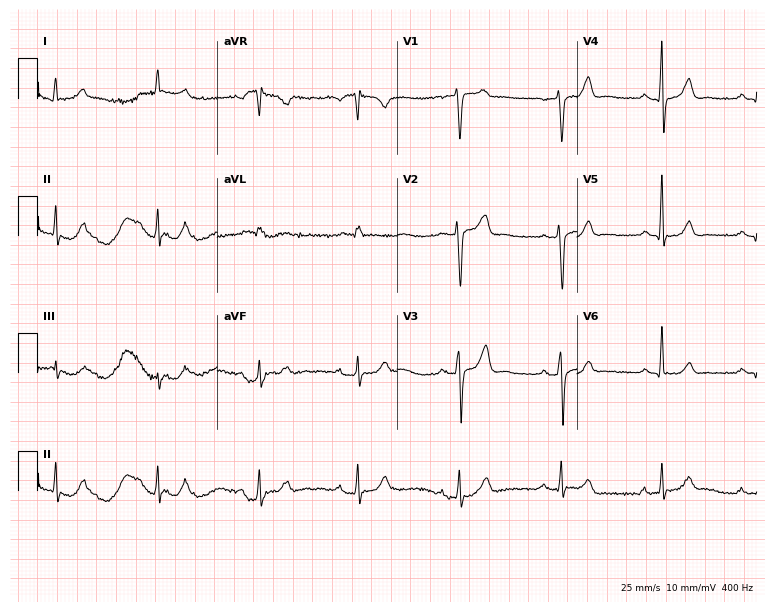
Resting 12-lead electrocardiogram. Patient: a male, 58 years old. Read as a normal ECG.